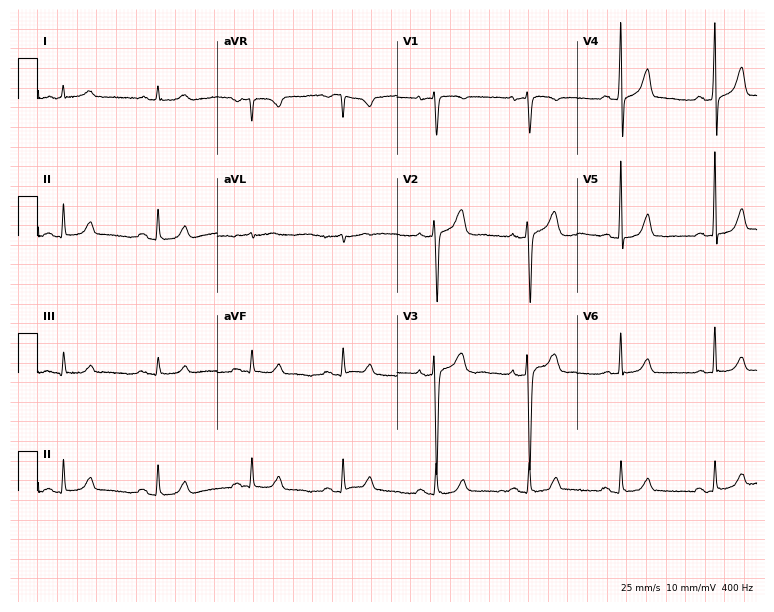
ECG (7.3-second recording at 400 Hz) — a male patient, 80 years old. Labelled as a normal ECG.